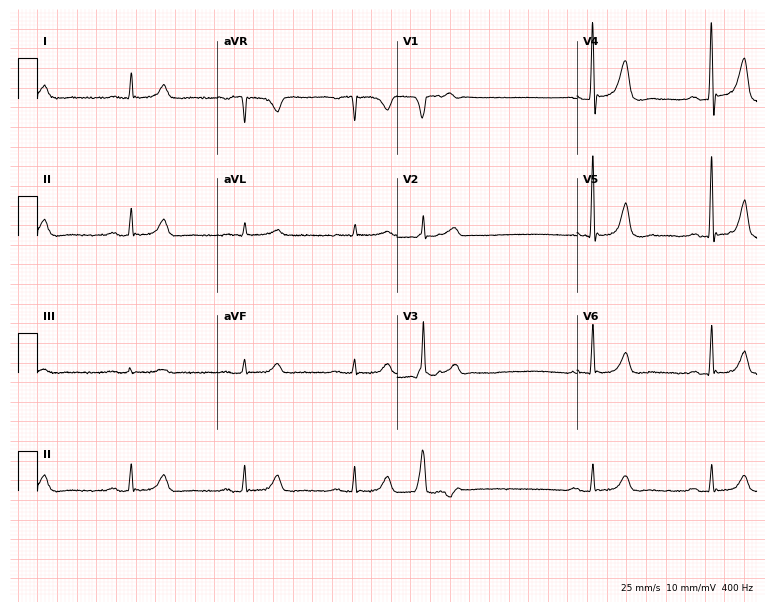
ECG (7.3-second recording at 400 Hz) — an 83-year-old male patient. Screened for six findings — first-degree AV block, right bundle branch block (RBBB), left bundle branch block (LBBB), sinus bradycardia, atrial fibrillation (AF), sinus tachycardia — none is recorded. Findings outside these six are not listed.